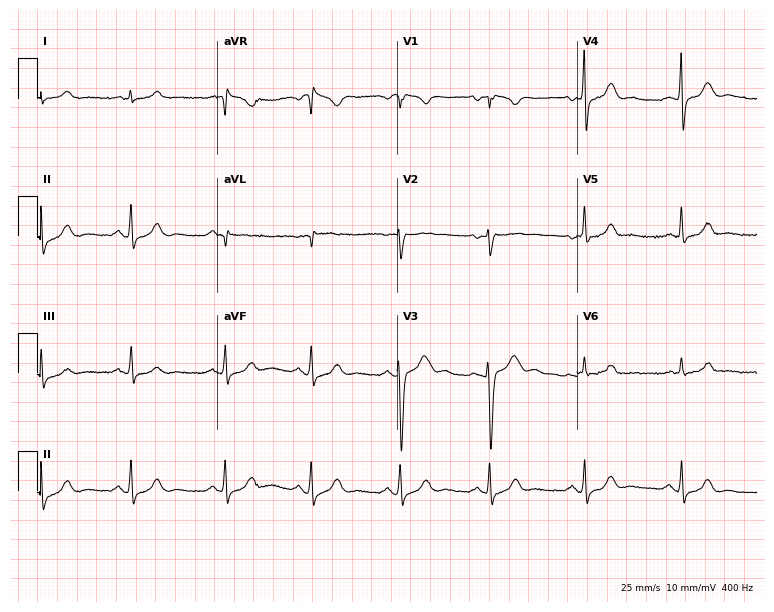
Resting 12-lead electrocardiogram. Patient: a 23-year-old female. Read as a normal ECG.